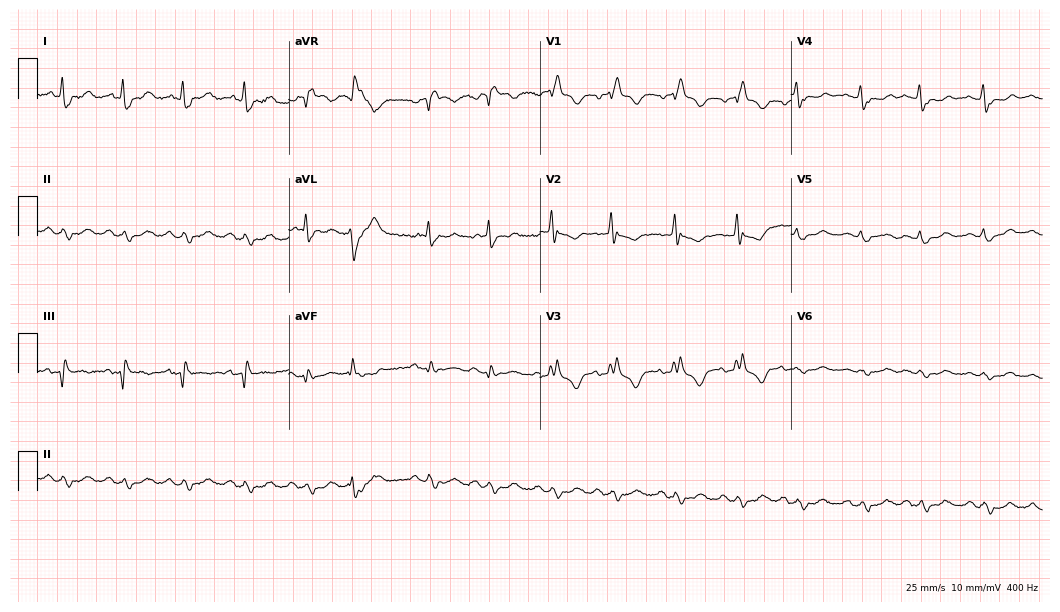
Electrocardiogram (10.2-second recording at 400 Hz), a female patient, 82 years old. Of the six screened findings (first-degree AV block, right bundle branch block (RBBB), left bundle branch block (LBBB), sinus bradycardia, atrial fibrillation (AF), sinus tachycardia), none is recorded.